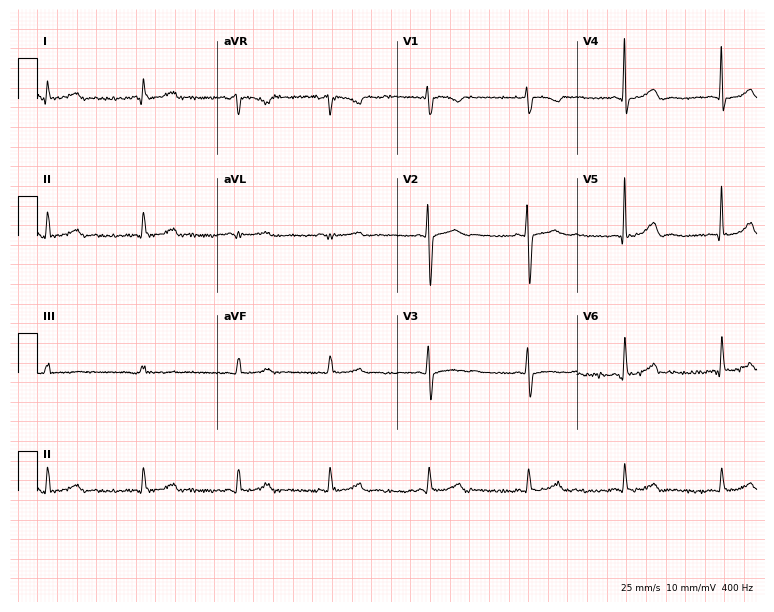
Standard 12-lead ECG recorded from a 29-year-old male (7.3-second recording at 400 Hz). Read as a normal ECG.